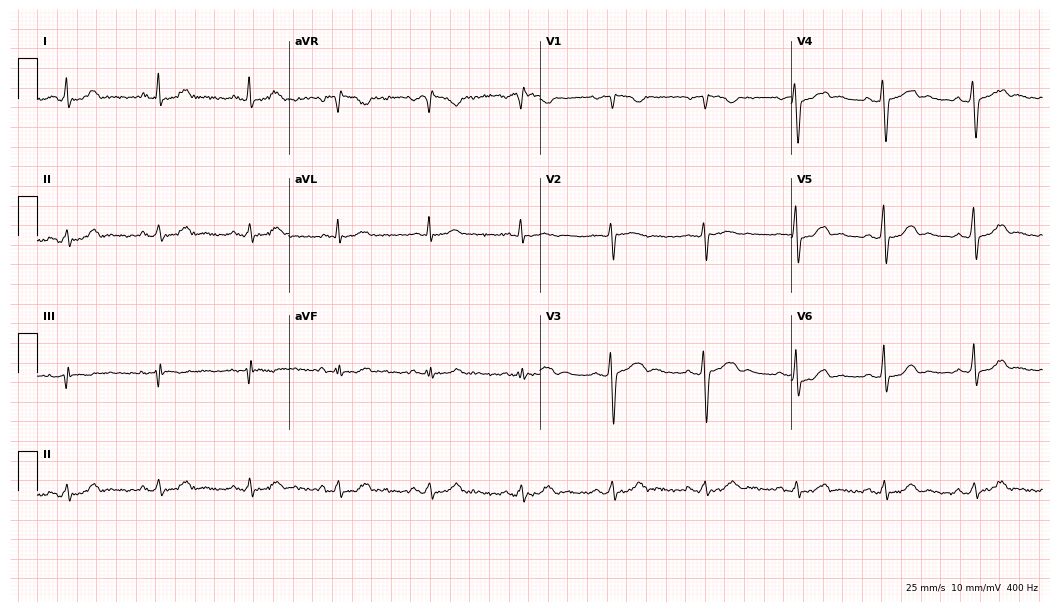
Standard 12-lead ECG recorded from a 44-year-old woman. Read as a normal ECG.